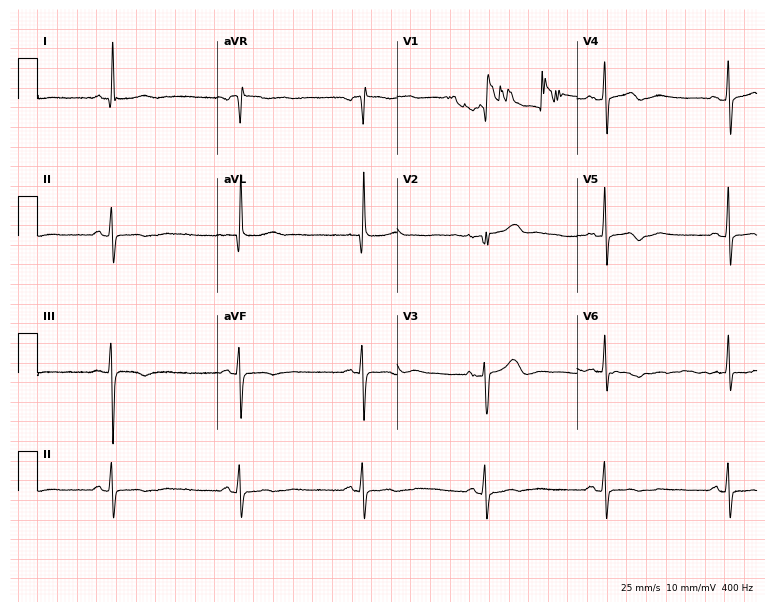
ECG — a female patient, 66 years old. Screened for six findings — first-degree AV block, right bundle branch block, left bundle branch block, sinus bradycardia, atrial fibrillation, sinus tachycardia — none is recorded.